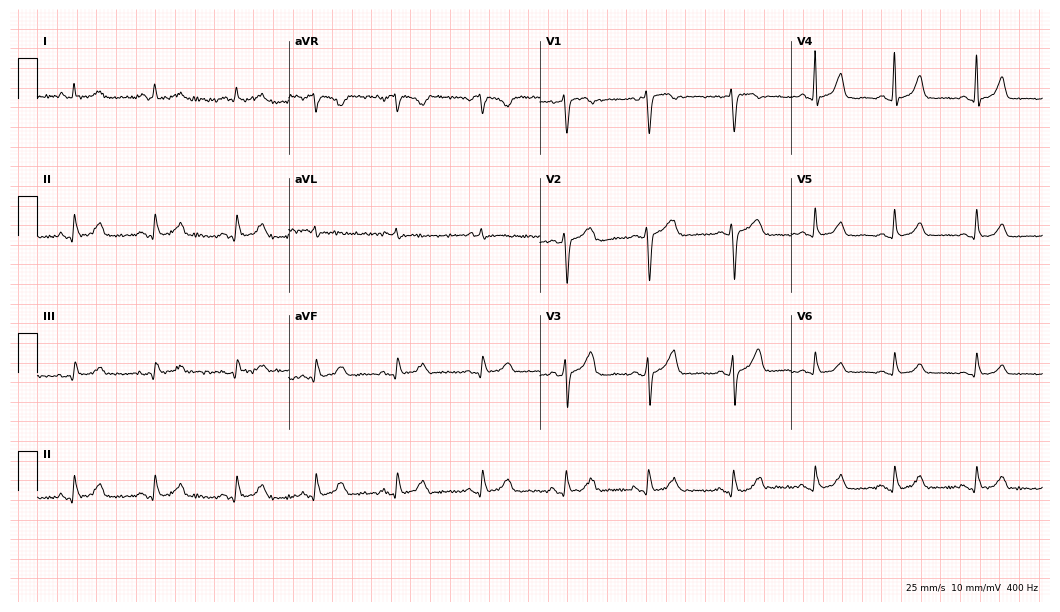
Resting 12-lead electrocardiogram (10.2-second recording at 400 Hz). Patient: a 61-year-old woman. None of these six findings is recorded: first-degree AV block, right bundle branch block, left bundle branch block, sinus bradycardia, atrial fibrillation, sinus tachycardia.